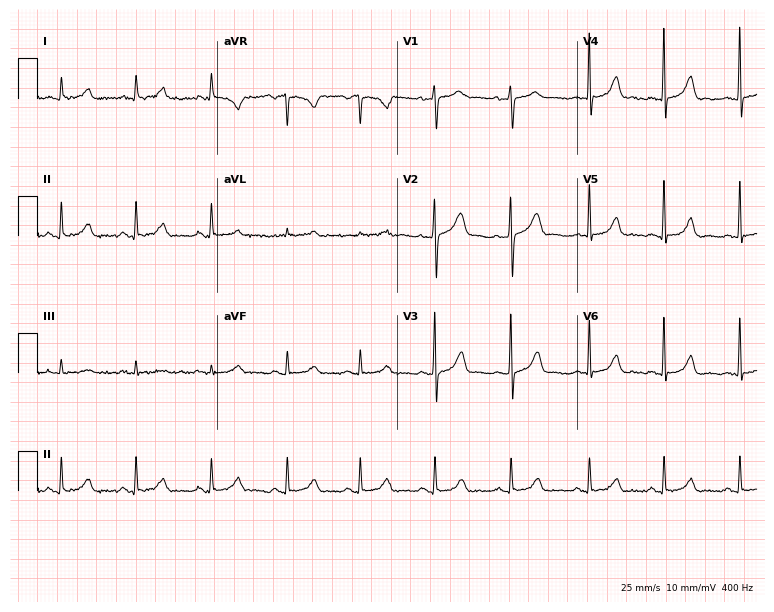
ECG (7.3-second recording at 400 Hz) — a 44-year-old woman. Labelled as a normal ECG.